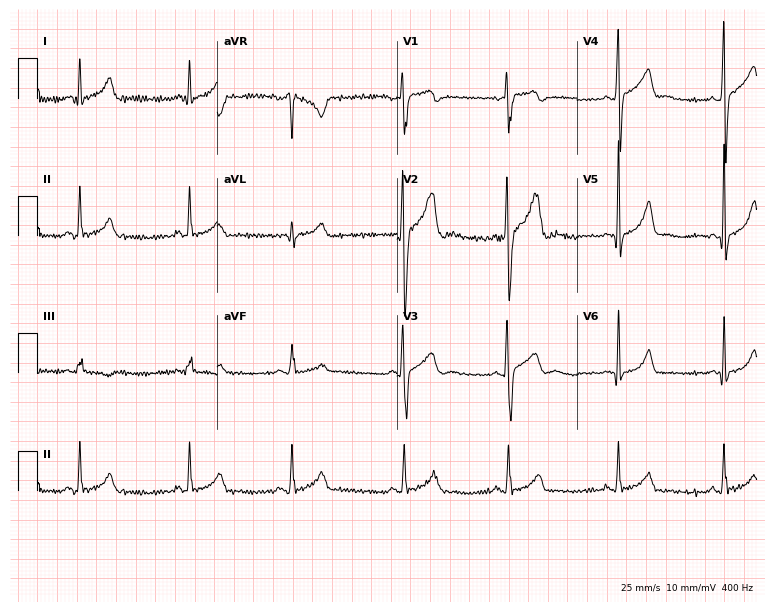
Standard 12-lead ECG recorded from a male patient, 19 years old. Read as a normal ECG.